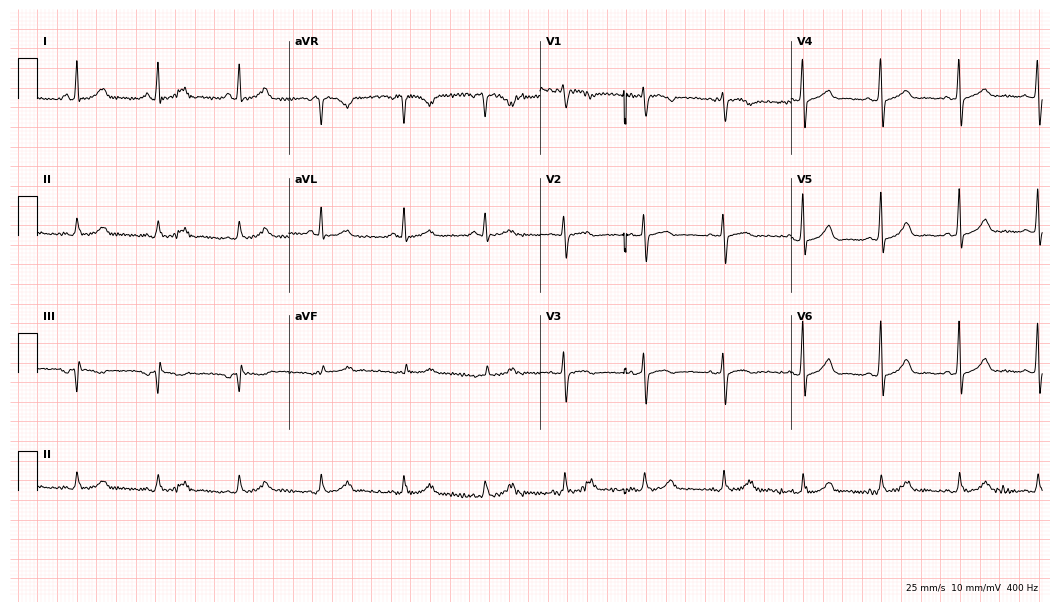
Electrocardiogram (10.2-second recording at 400 Hz), a 53-year-old woman. Overall reading on record: normal ECG.